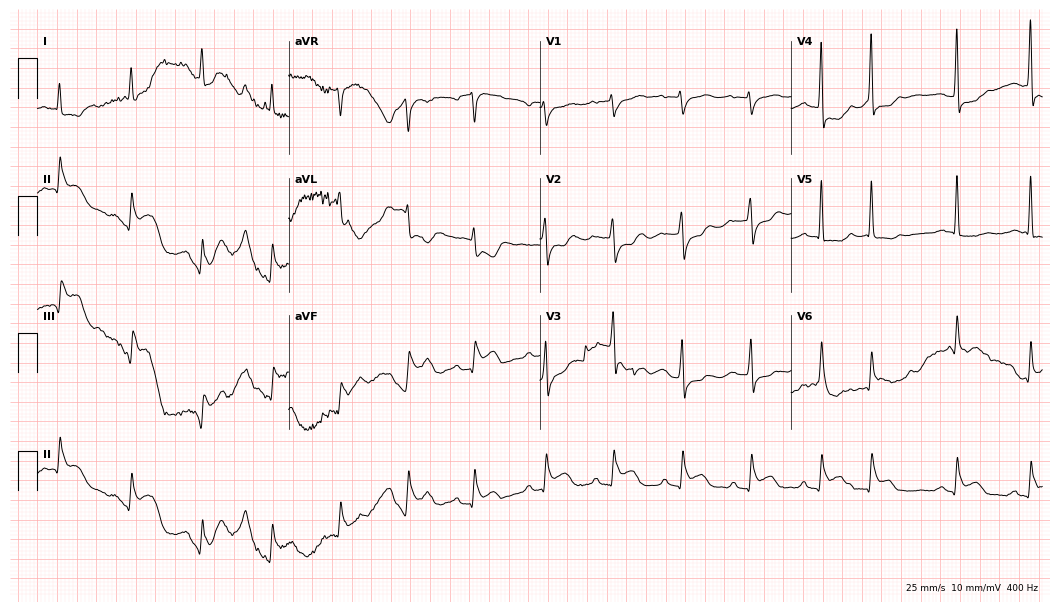
Electrocardiogram (10.2-second recording at 400 Hz), a female, 65 years old. Of the six screened findings (first-degree AV block, right bundle branch block, left bundle branch block, sinus bradycardia, atrial fibrillation, sinus tachycardia), none is recorded. Findings outside these six are not listed.